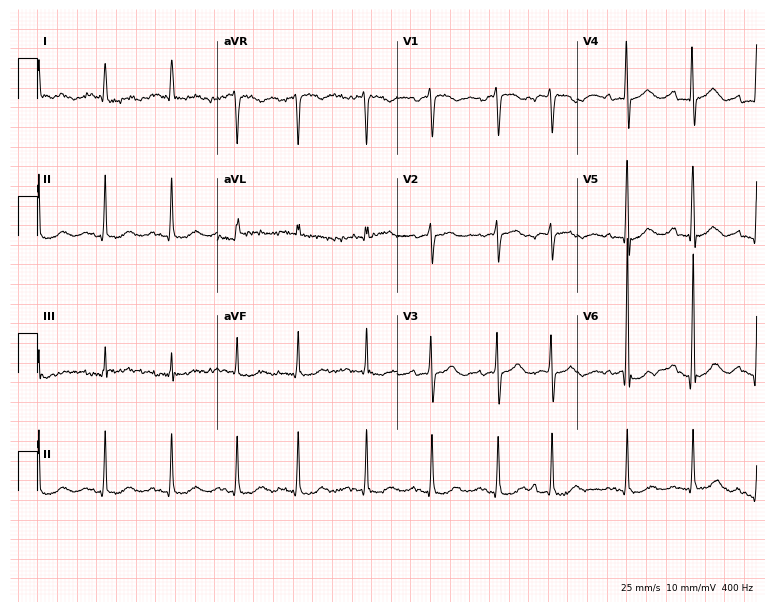
Standard 12-lead ECG recorded from a woman, 84 years old (7.3-second recording at 400 Hz). None of these six findings is recorded: first-degree AV block, right bundle branch block, left bundle branch block, sinus bradycardia, atrial fibrillation, sinus tachycardia. Other findings, if any, are not listed.